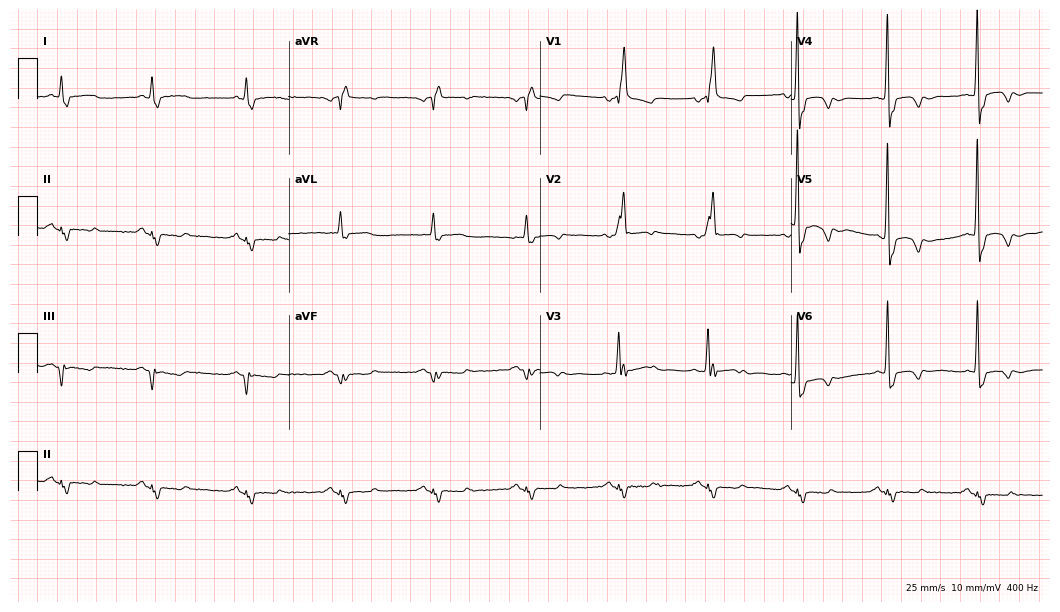
Resting 12-lead electrocardiogram. Patient: a 60-year-old man. The tracing shows right bundle branch block (RBBB), left bundle branch block (LBBB).